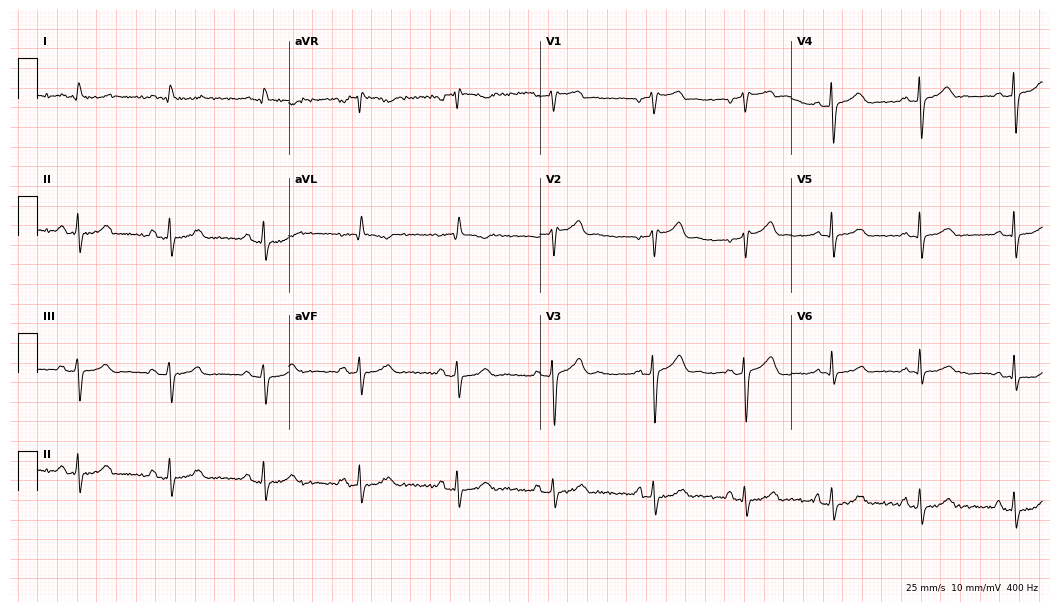
12-lead ECG (10.2-second recording at 400 Hz) from a 45-year-old female patient. Labelled as a normal ECG.